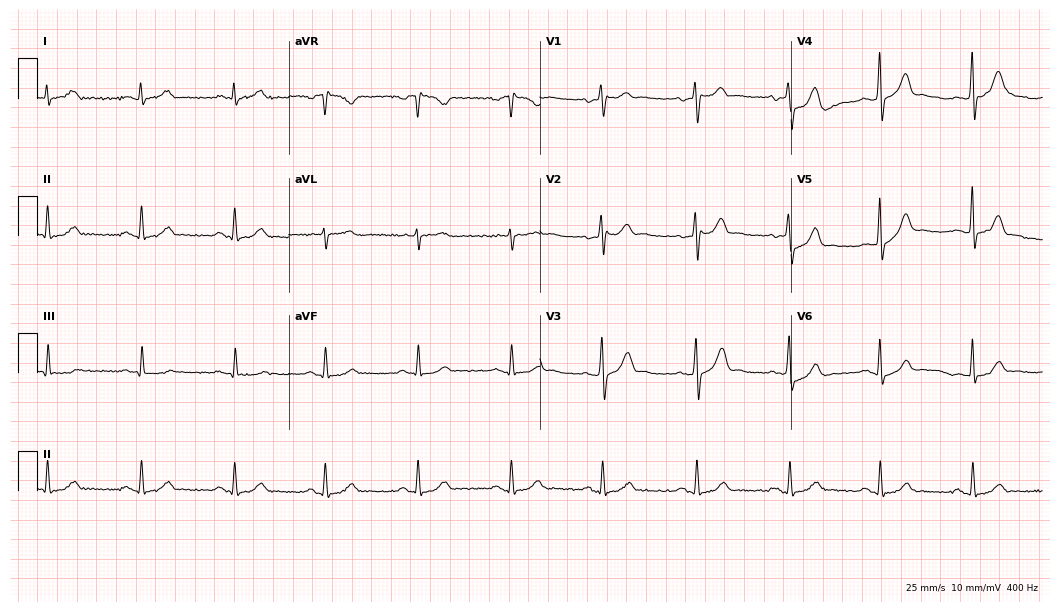
Electrocardiogram (10.2-second recording at 400 Hz), a female, 45 years old. Overall reading on record: normal ECG.